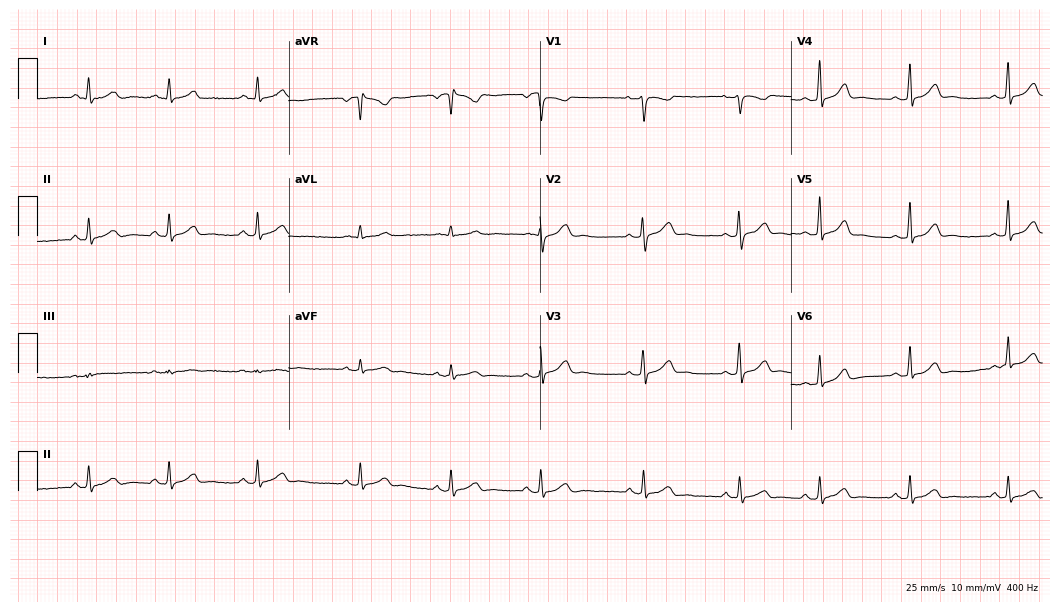
Resting 12-lead electrocardiogram. Patient: a woman, 19 years old. Read as a normal ECG.